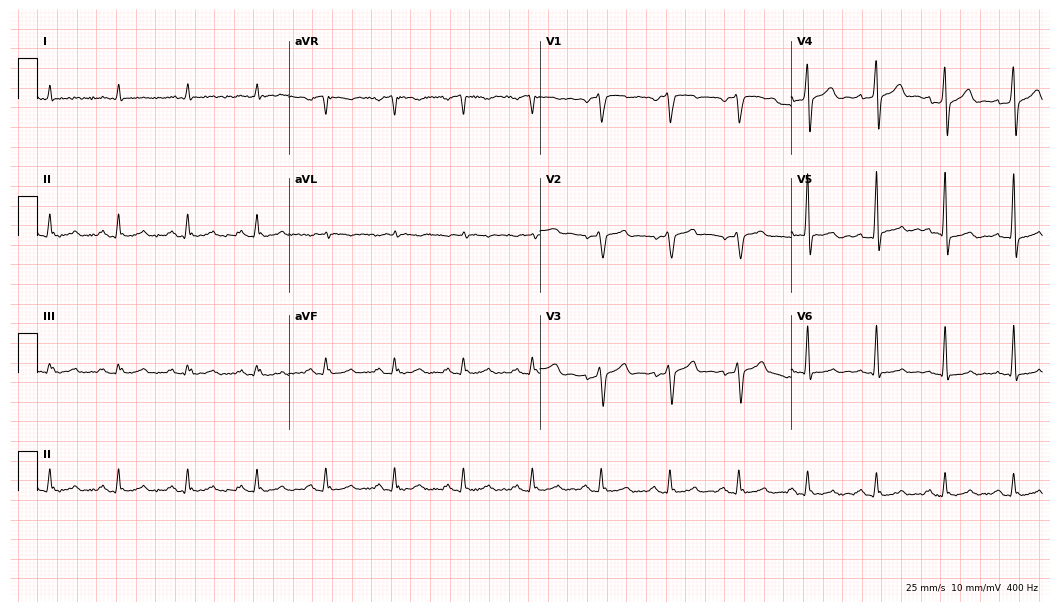
Standard 12-lead ECG recorded from a male, 51 years old (10.2-second recording at 400 Hz). Read as a normal ECG.